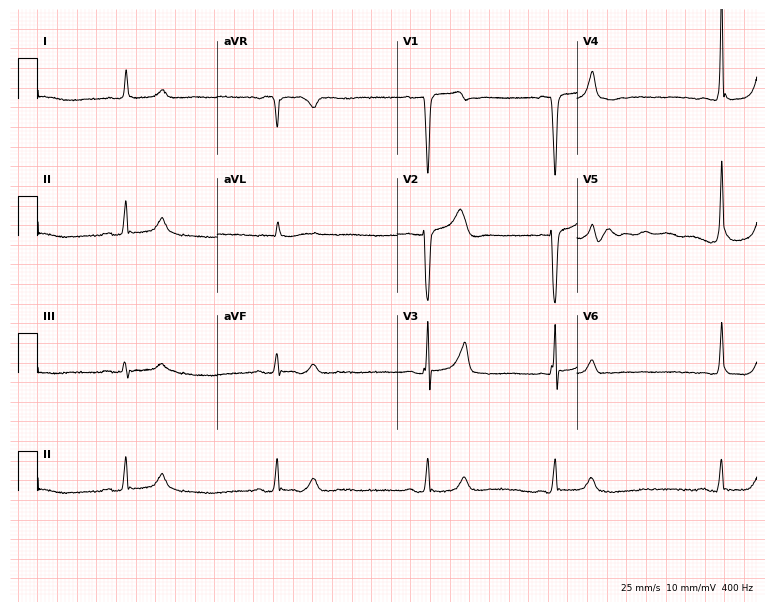
ECG — a 79-year-old man. Findings include sinus bradycardia (a sinus rate of 50 beats per minute or less).